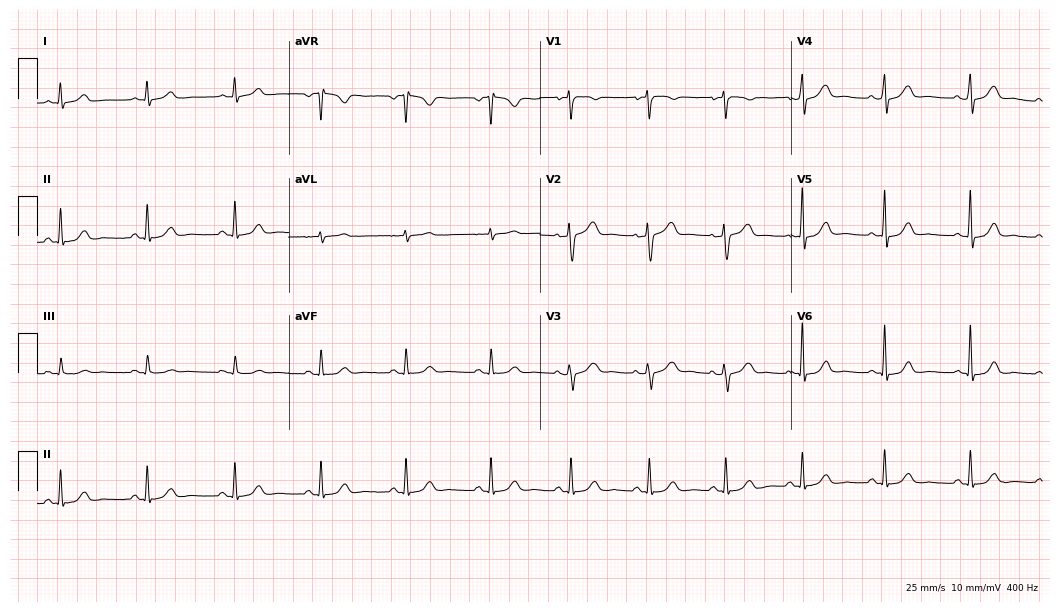
Resting 12-lead electrocardiogram (10.2-second recording at 400 Hz). Patient: a woman, 44 years old. Read as a normal ECG.